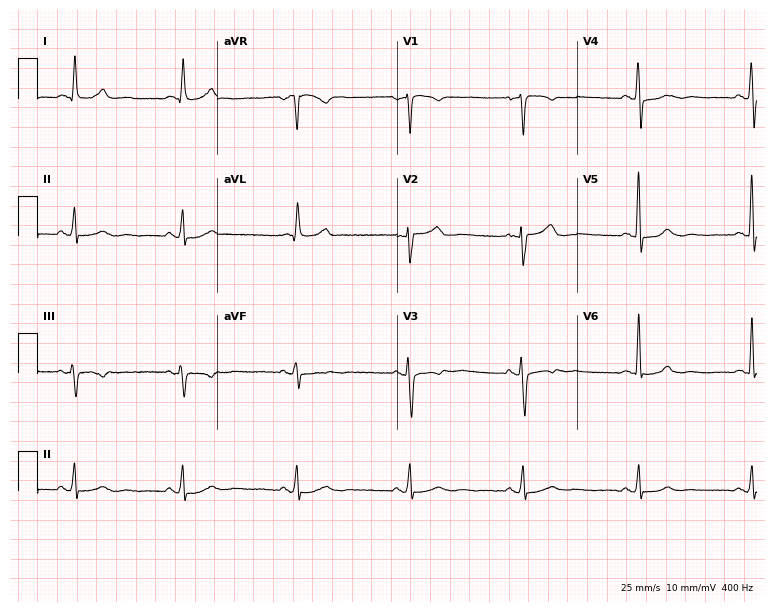
12-lead ECG from a female patient, 73 years old. No first-degree AV block, right bundle branch block (RBBB), left bundle branch block (LBBB), sinus bradycardia, atrial fibrillation (AF) or sinus tachycardia recorded for this tracing. Other findings, if any, are not listed.